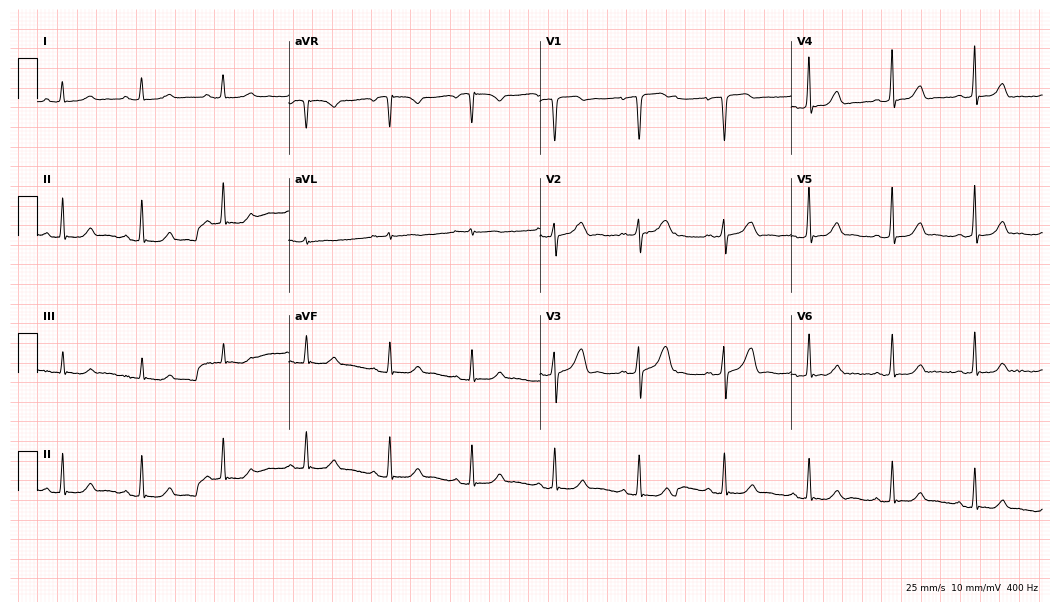
Standard 12-lead ECG recorded from a 51-year-old female patient (10.2-second recording at 400 Hz). None of these six findings is recorded: first-degree AV block, right bundle branch block (RBBB), left bundle branch block (LBBB), sinus bradycardia, atrial fibrillation (AF), sinus tachycardia. Other findings, if any, are not listed.